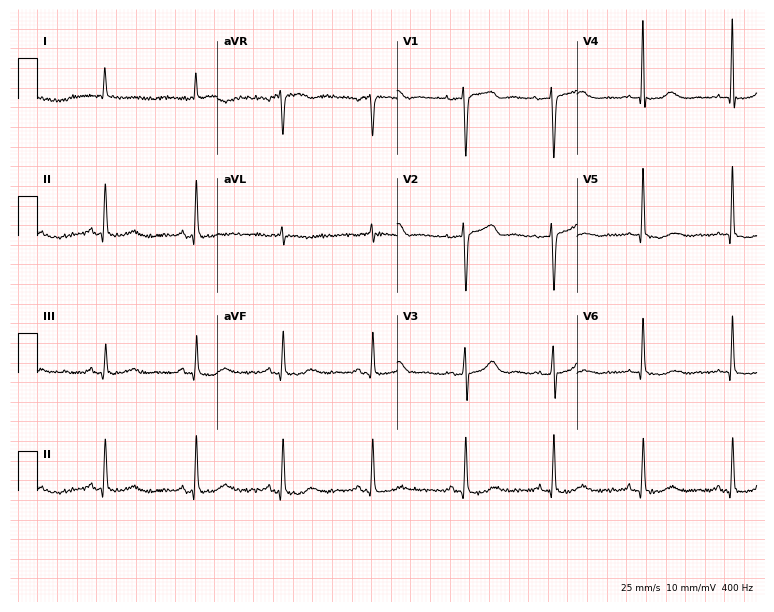
12-lead ECG (7.3-second recording at 400 Hz) from a male patient, 85 years old. Screened for six findings — first-degree AV block, right bundle branch block, left bundle branch block, sinus bradycardia, atrial fibrillation, sinus tachycardia — none is recorded. Only these six findings were labelled.